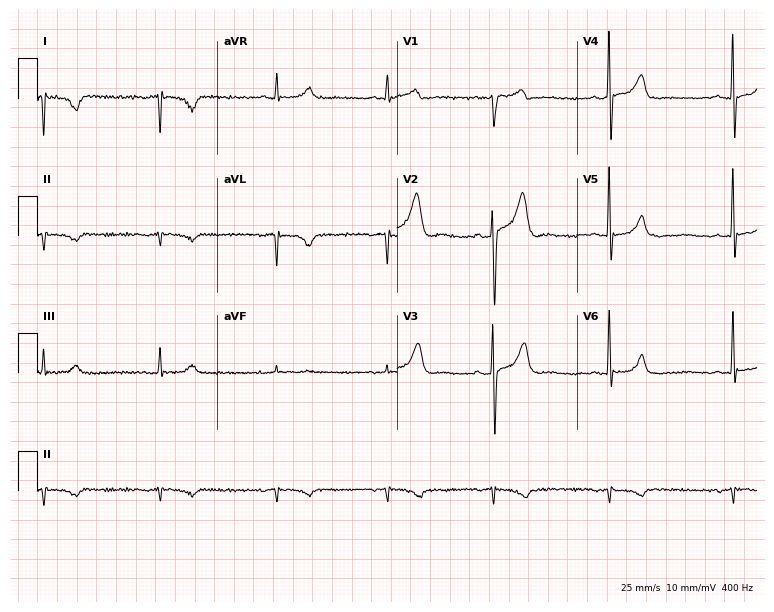
Electrocardiogram (7.3-second recording at 400 Hz), a 65-year-old male. Of the six screened findings (first-degree AV block, right bundle branch block (RBBB), left bundle branch block (LBBB), sinus bradycardia, atrial fibrillation (AF), sinus tachycardia), none is recorded.